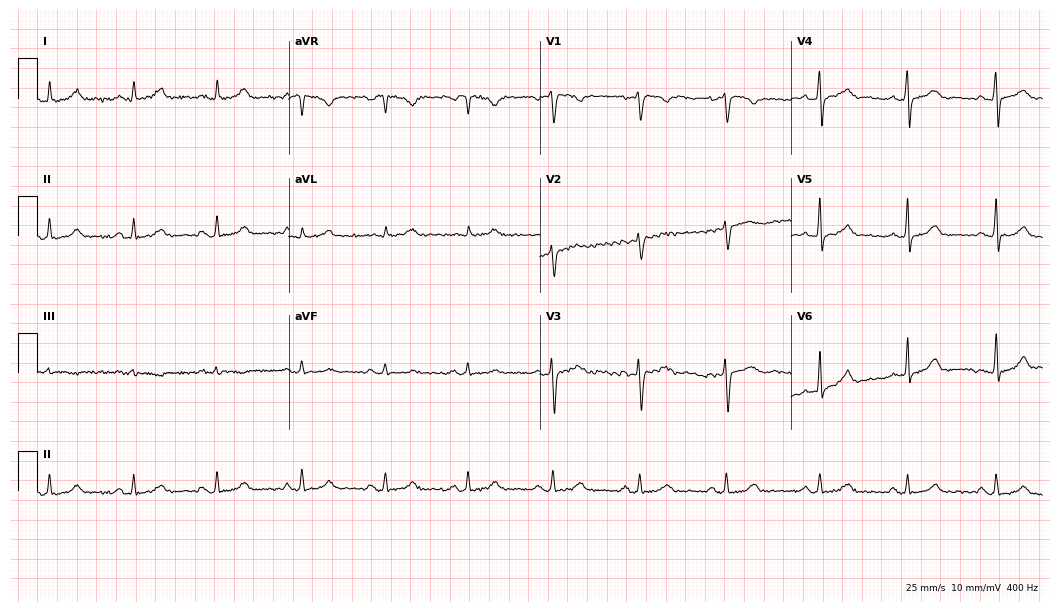
12-lead ECG (10.2-second recording at 400 Hz) from a 28-year-old woman. Labelled as a normal ECG.